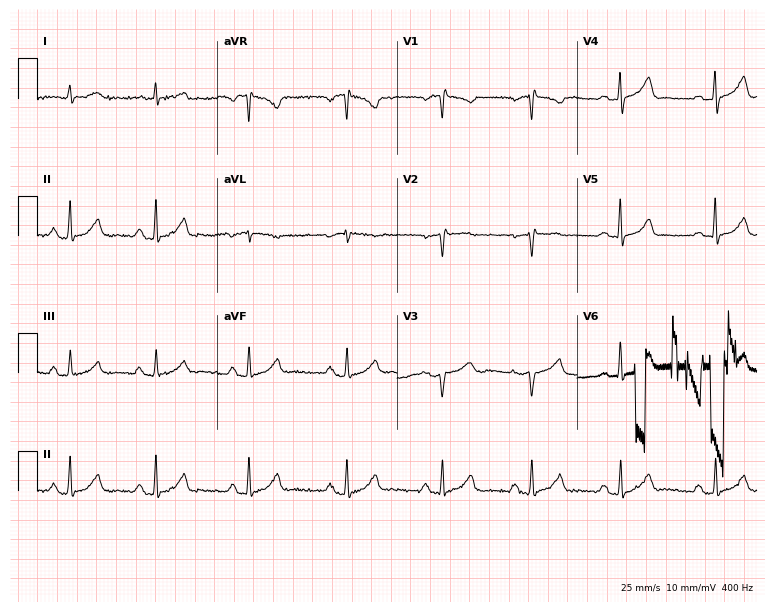
ECG — a woman, 60 years old. Labelled as a normal ECG.